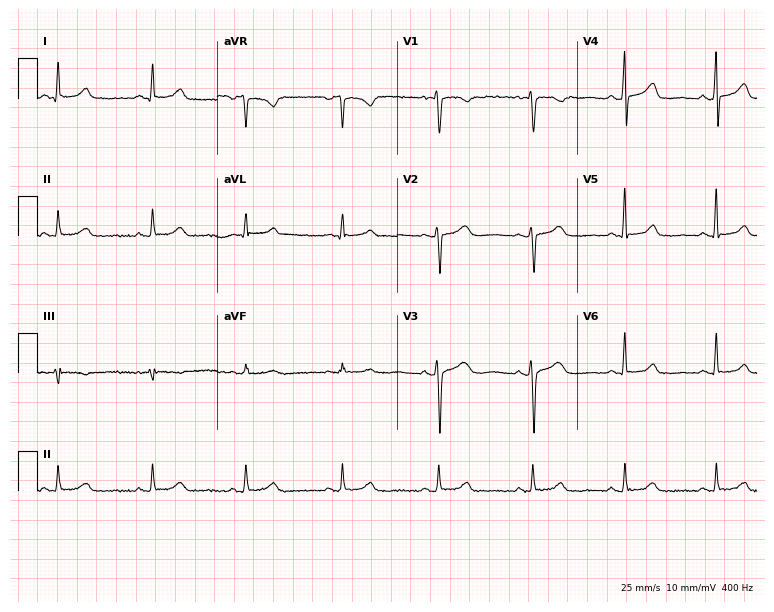
Resting 12-lead electrocardiogram. Patient: a 53-year-old woman. None of these six findings is recorded: first-degree AV block, right bundle branch block, left bundle branch block, sinus bradycardia, atrial fibrillation, sinus tachycardia. Other findings, if any, are not listed.